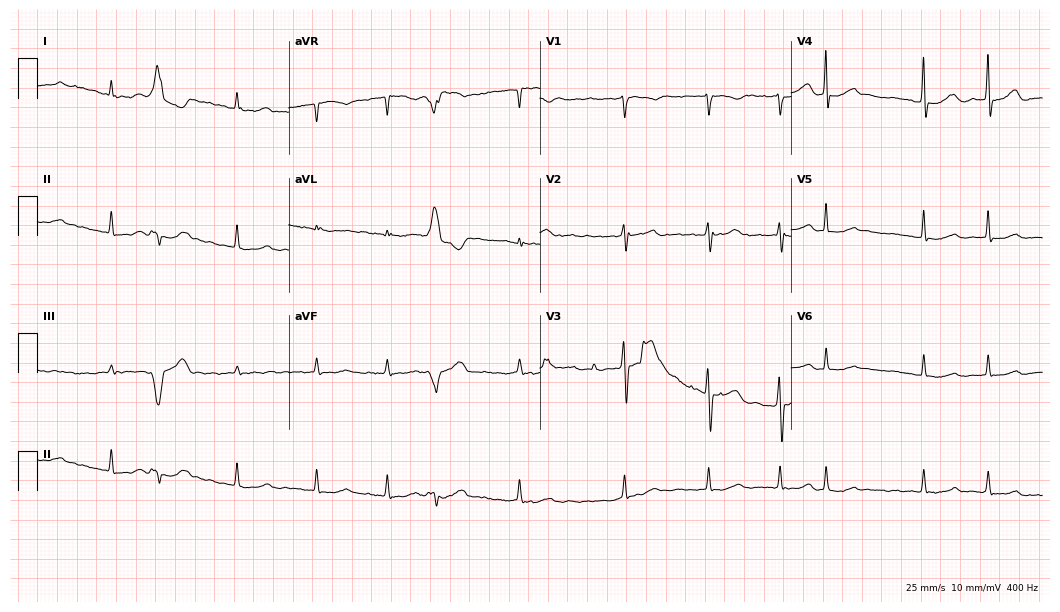
12-lead ECG from an 81-year-old female. Shows atrial fibrillation (AF).